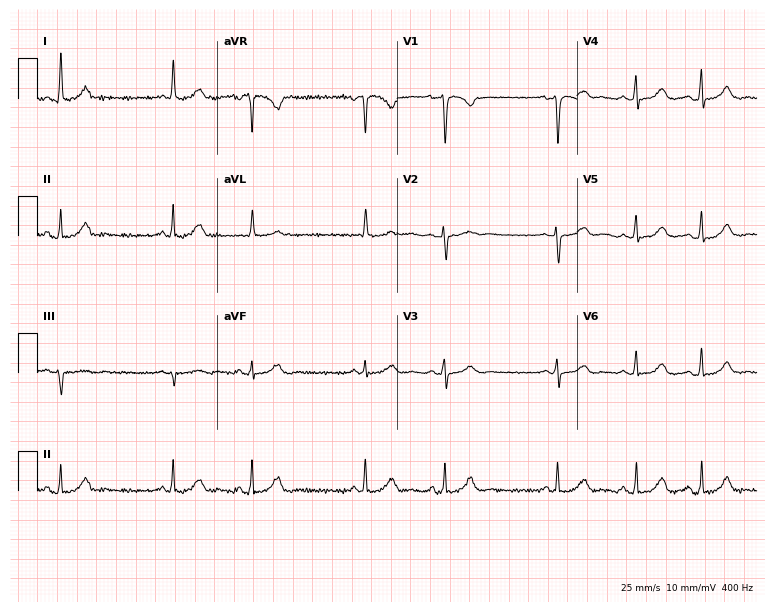
Resting 12-lead electrocardiogram (7.3-second recording at 400 Hz). Patient: a female, 57 years old. None of these six findings is recorded: first-degree AV block, right bundle branch block, left bundle branch block, sinus bradycardia, atrial fibrillation, sinus tachycardia. Other findings, if any, are not listed.